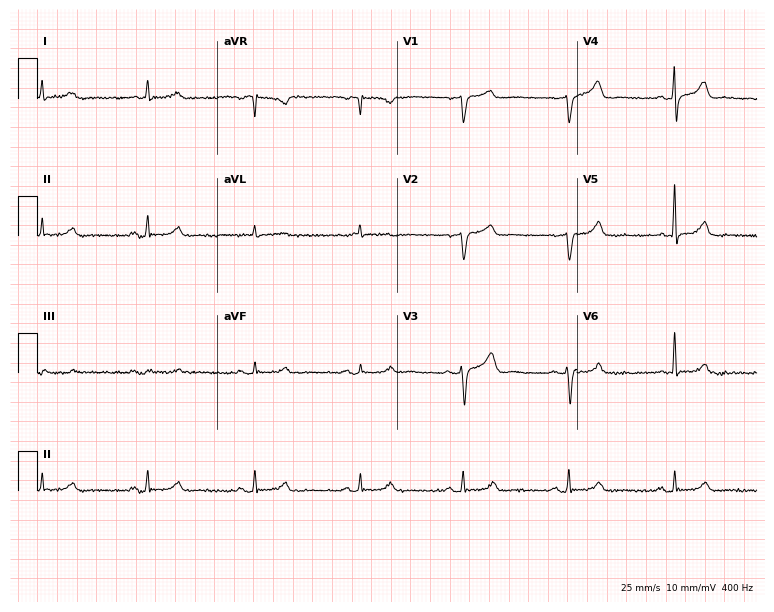
Electrocardiogram (7.3-second recording at 400 Hz), an 80-year-old male. Overall reading on record: normal ECG.